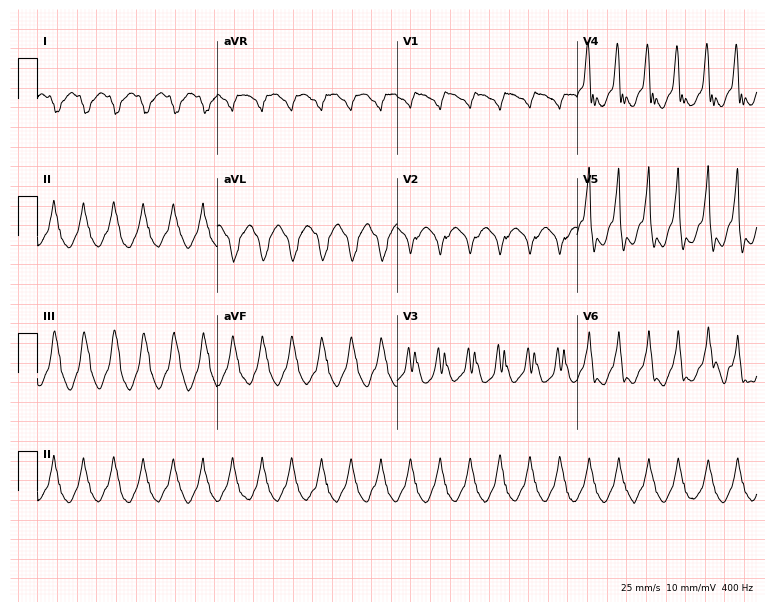
12-lead ECG from a woman, 55 years old (7.3-second recording at 400 Hz). Shows atrial fibrillation, sinus tachycardia (a sinus rate of 100 beats per minute or more).